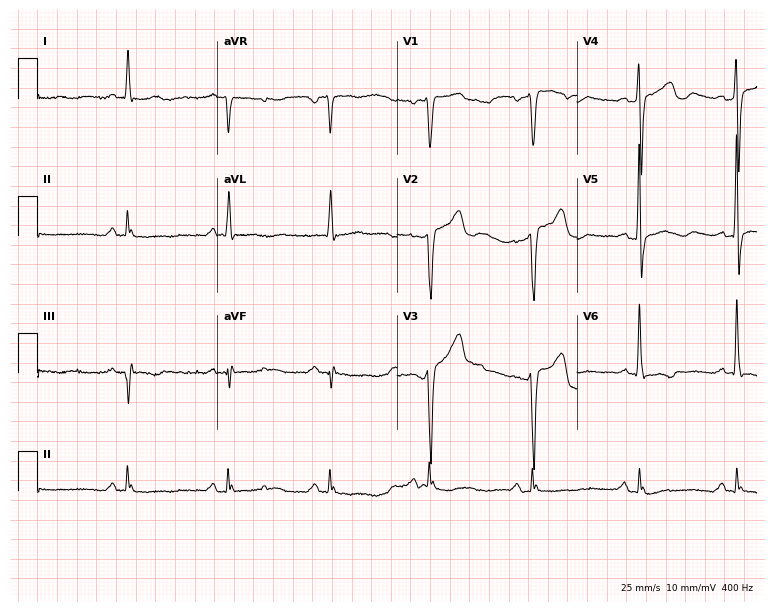
Resting 12-lead electrocardiogram. Patient: a female, 66 years old. None of these six findings is recorded: first-degree AV block, right bundle branch block, left bundle branch block, sinus bradycardia, atrial fibrillation, sinus tachycardia. Findings outside these six are not listed.